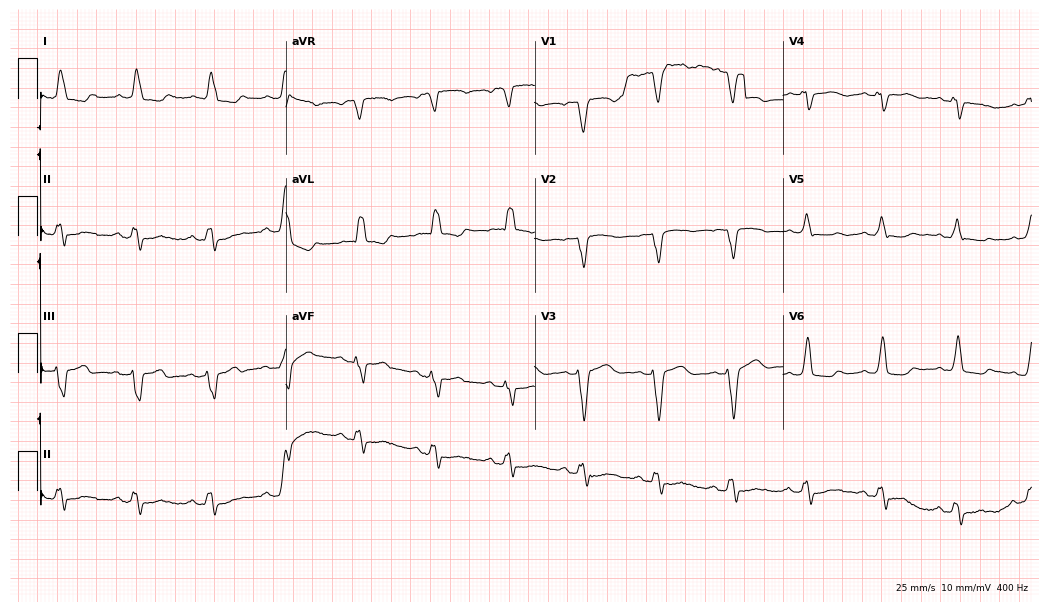
ECG (10.1-second recording at 400 Hz) — a 76-year-old female. Screened for six findings — first-degree AV block, right bundle branch block (RBBB), left bundle branch block (LBBB), sinus bradycardia, atrial fibrillation (AF), sinus tachycardia — none is recorded. Only these six findings were labelled.